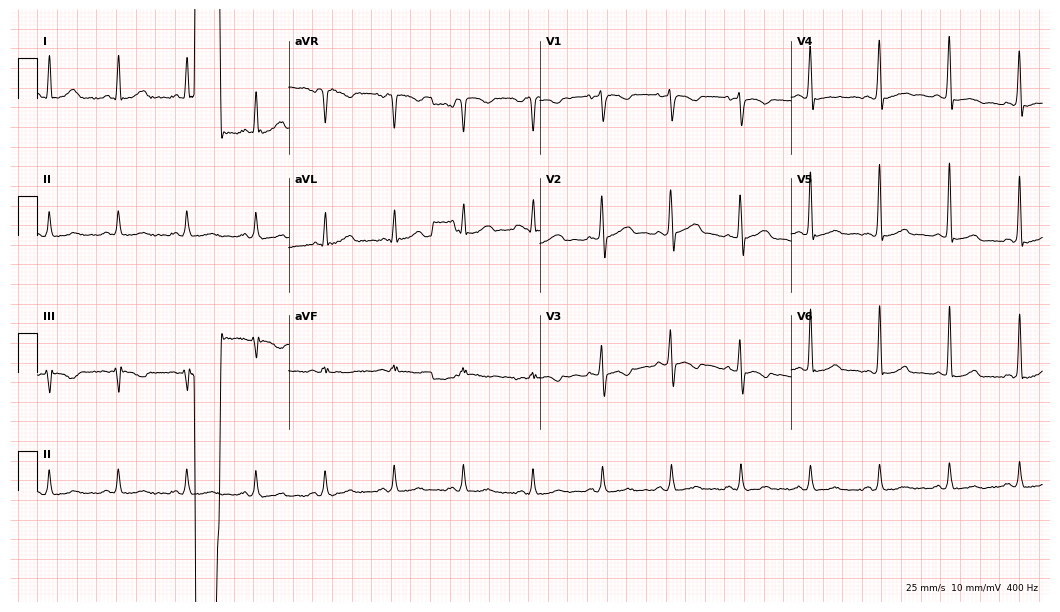
ECG (10.2-second recording at 400 Hz) — a woman, 46 years old. Screened for six findings — first-degree AV block, right bundle branch block, left bundle branch block, sinus bradycardia, atrial fibrillation, sinus tachycardia — none is recorded.